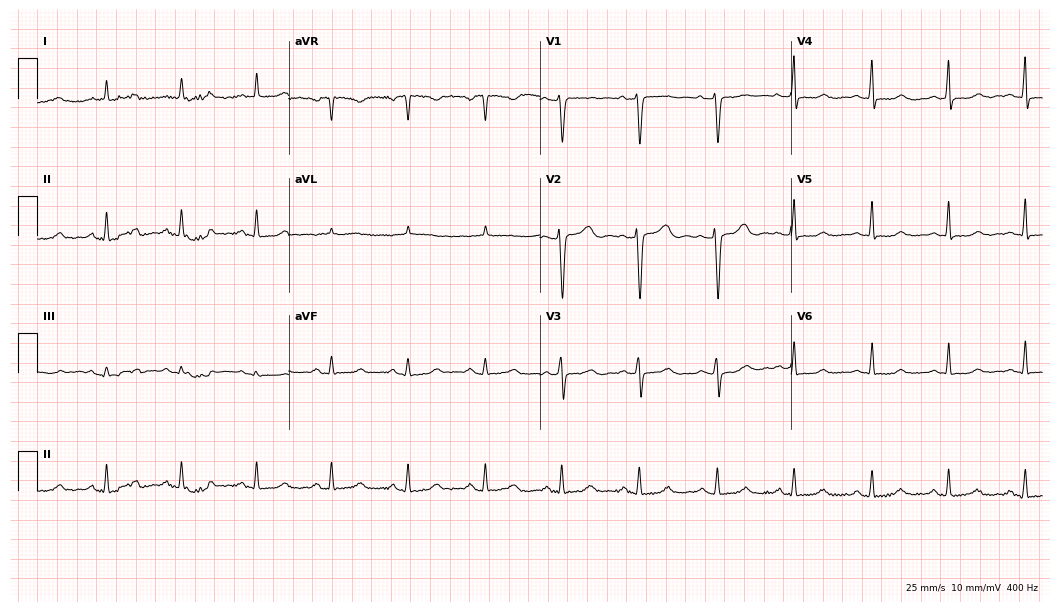
12-lead ECG from a 56-year-old female. Recorded interpretation: within normal limits.